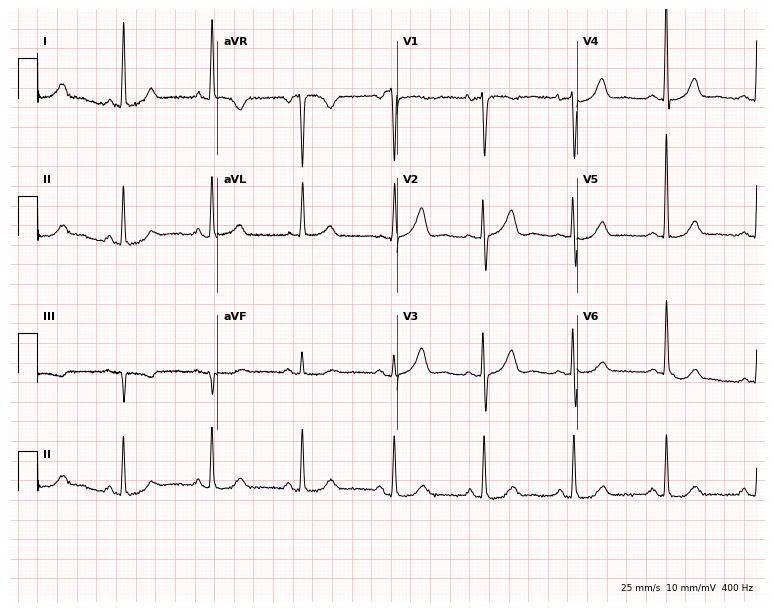
Standard 12-lead ECG recorded from a 67-year-old woman (7.3-second recording at 400 Hz). None of these six findings is recorded: first-degree AV block, right bundle branch block, left bundle branch block, sinus bradycardia, atrial fibrillation, sinus tachycardia.